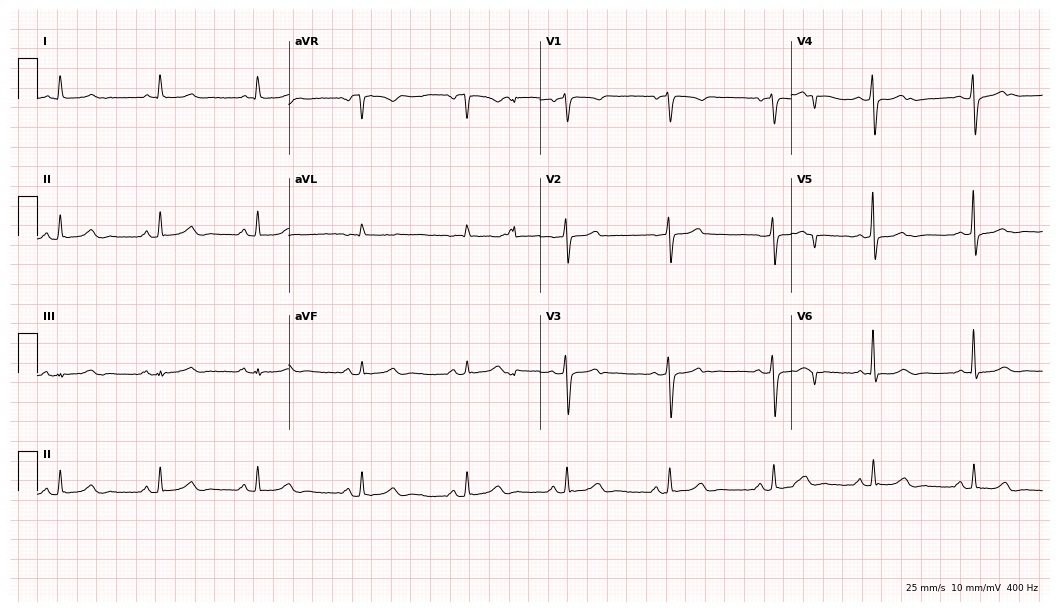
ECG — a woman, 56 years old. Screened for six findings — first-degree AV block, right bundle branch block (RBBB), left bundle branch block (LBBB), sinus bradycardia, atrial fibrillation (AF), sinus tachycardia — none is recorded.